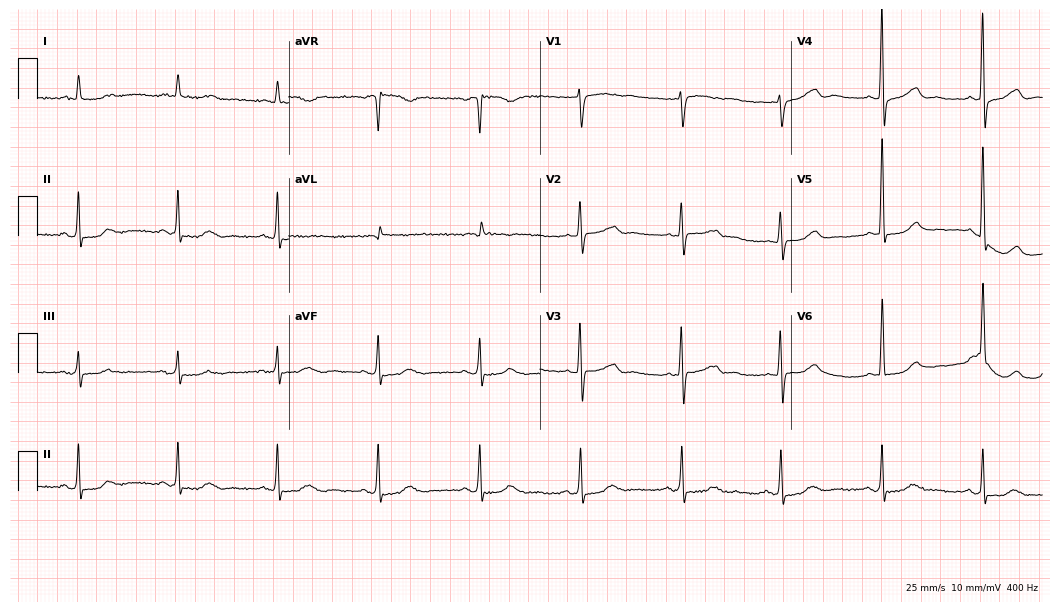
ECG — a female patient, 72 years old. Labelled as a normal ECG.